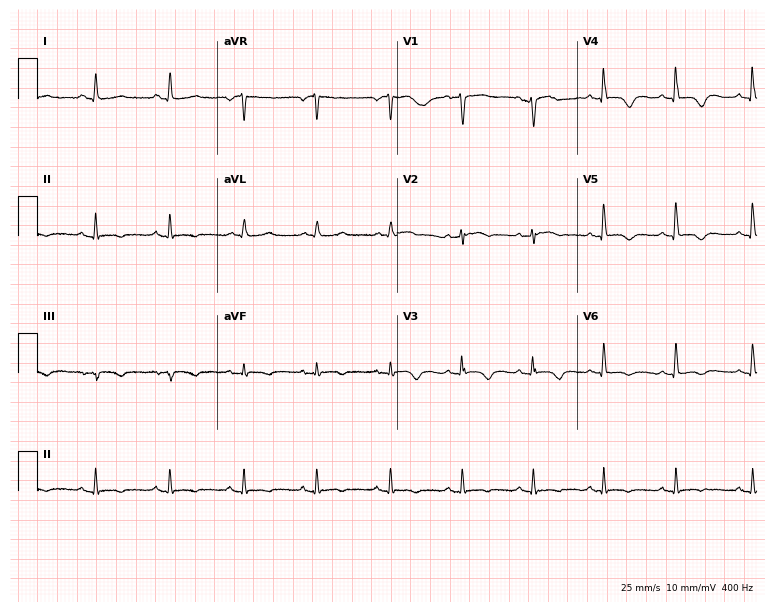
Resting 12-lead electrocardiogram. Patient: a 79-year-old female. None of these six findings is recorded: first-degree AV block, right bundle branch block, left bundle branch block, sinus bradycardia, atrial fibrillation, sinus tachycardia. Findings outside these six are not listed.